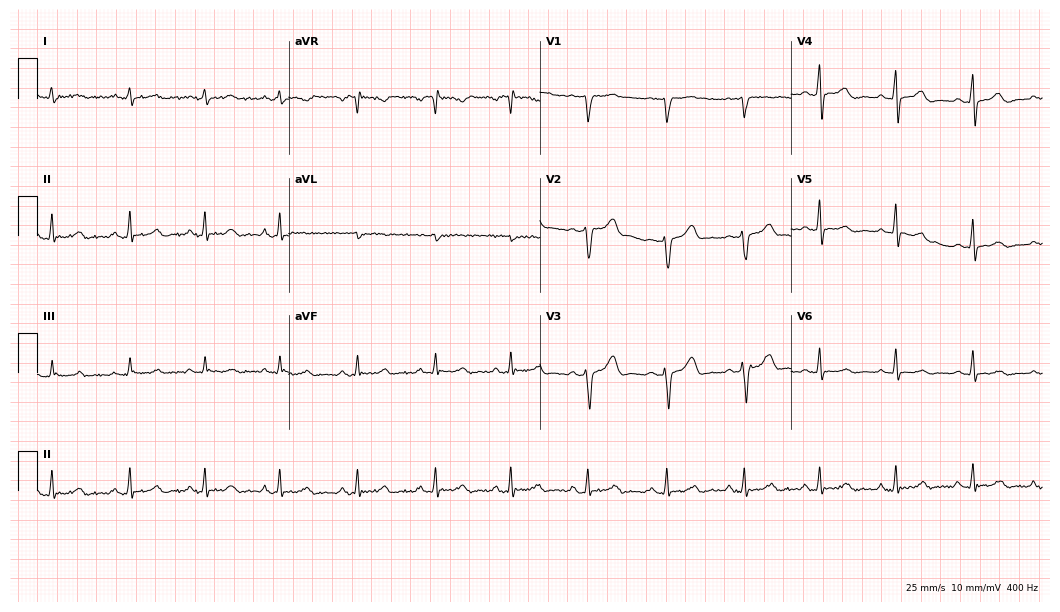
12-lead ECG from a 35-year-old female (10.2-second recording at 400 Hz). No first-degree AV block, right bundle branch block (RBBB), left bundle branch block (LBBB), sinus bradycardia, atrial fibrillation (AF) or sinus tachycardia recorded for this tracing. Only these six findings were labelled.